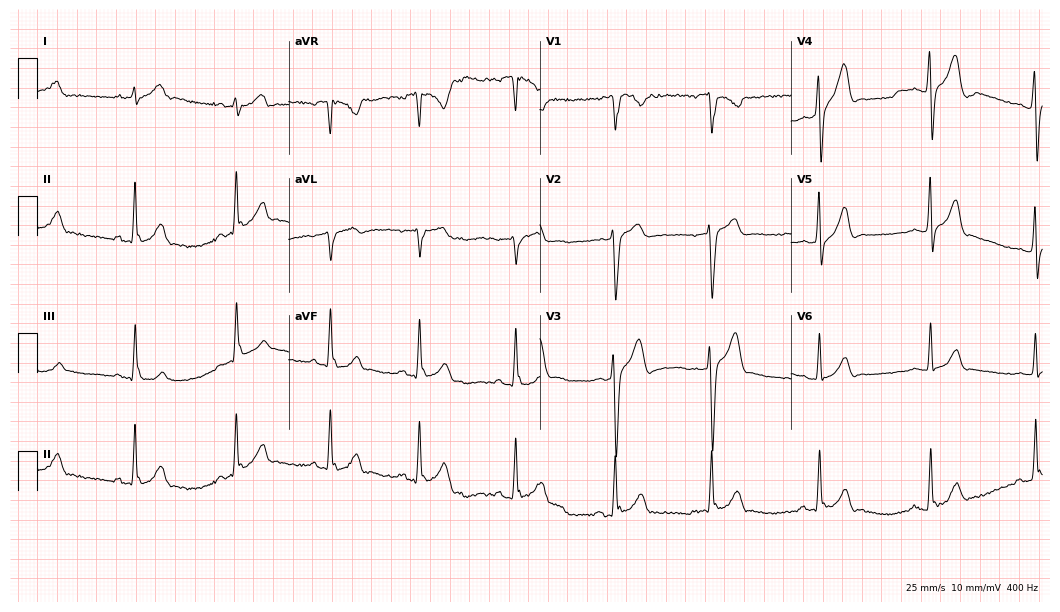
Electrocardiogram (10.2-second recording at 400 Hz), a man, 24 years old. Of the six screened findings (first-degree AV block, right bundle branch block (RBBB), left bundle branch block (LBBB), sinus bradycardia, atrial fibrillation (AF), sinus tachycardia), none is recorded. Other findings, if any, are not listed.